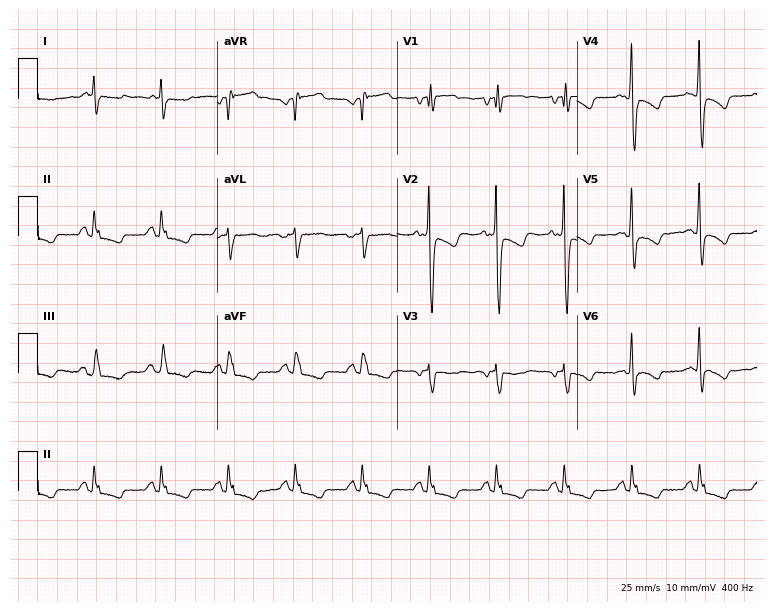
12-lead ECG from a 56-year-old male patient. No first-degree AV block, right bundle branch block, left bundle branch block, sinus bradycardia, atrial fibrillation or sinus tachycardia recorded for this tracing.